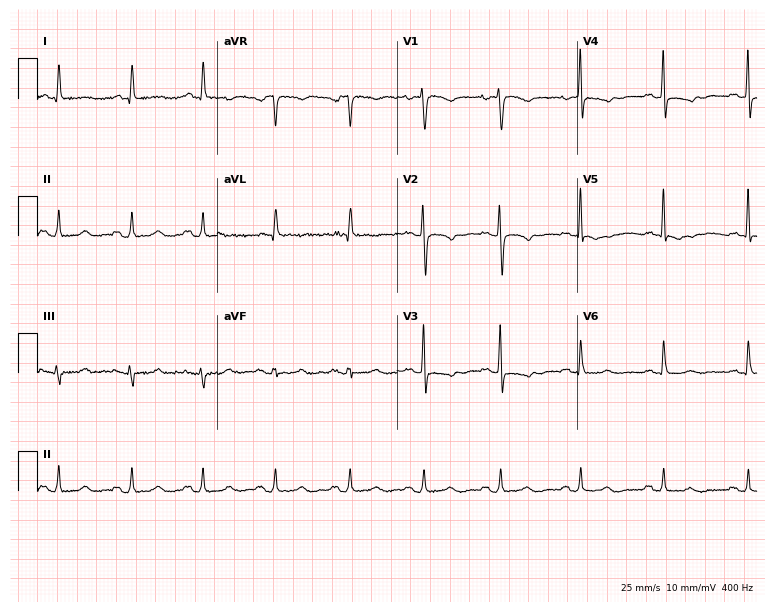
12-lead ECG from a female patient, 64 years old. Screened for six findings — first-degree AV block, right bundle branch block, left bundle branch block, sinus bradycardia, atrial fibrillation, sinus tachycardia — none is recorded.